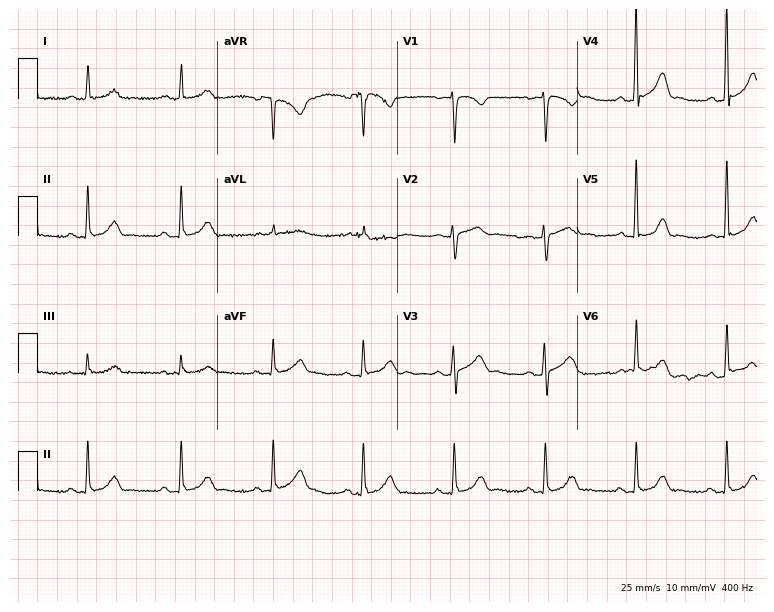
12-lead ECG from a 38-year-old female patient (7.3-second recording at 400 Hz). No first-degree AV block, right bundle branch block (RBBB), left bundle branch block (LBBB), sinus bradycardia, atrial fibrillation (AF) or sinus tachycardia recorded for this tracing.